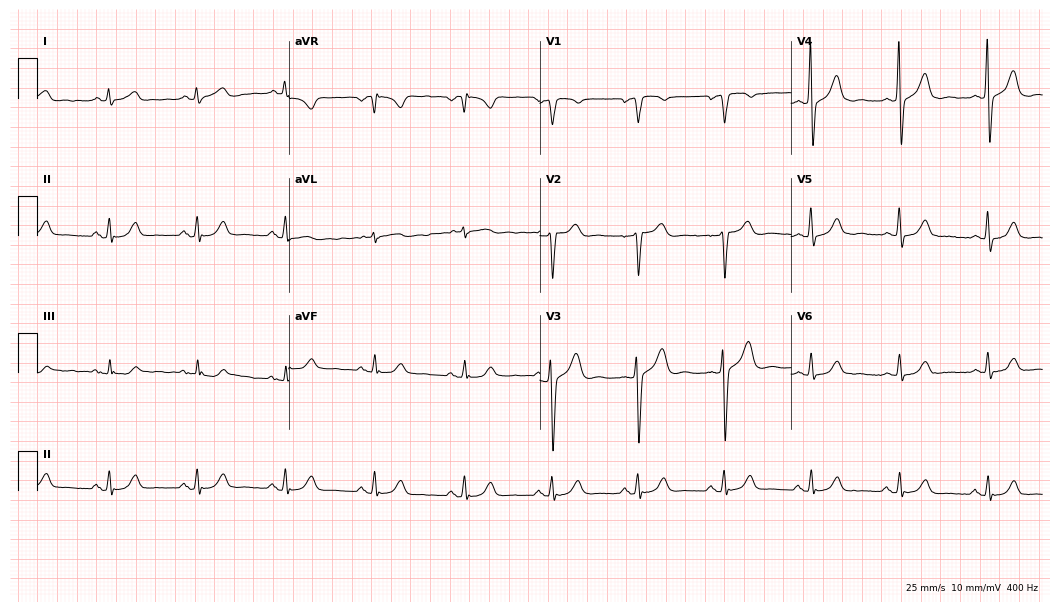
12-lead ECG from a man, 68 years old (10.2-second recording at 400 Hz). No first-degree AV block, right bundle branch block, left bundle branch block, sinus bradycardia, atrial fibrillation or sinus tachycardia recorded for this tracing.